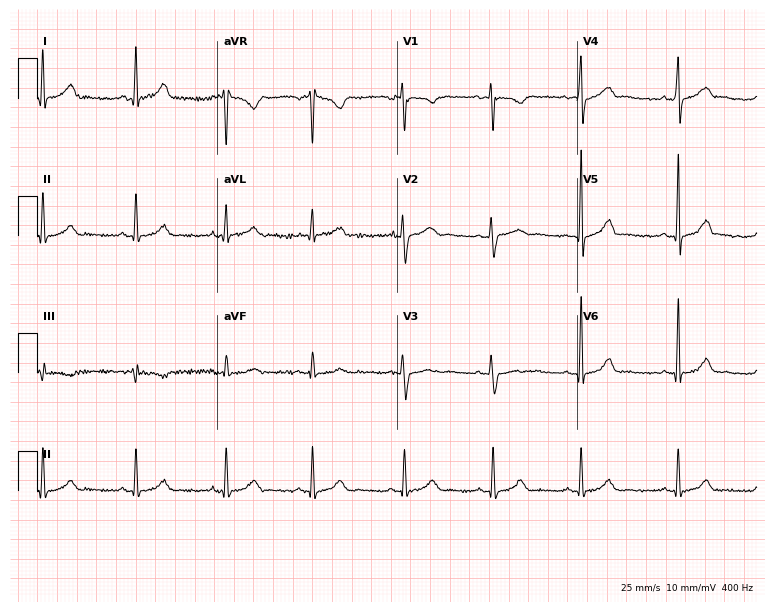
Resting 12-lead electrocardiogram. Patient: a 26-year-old woman. Read as a normal ECG.